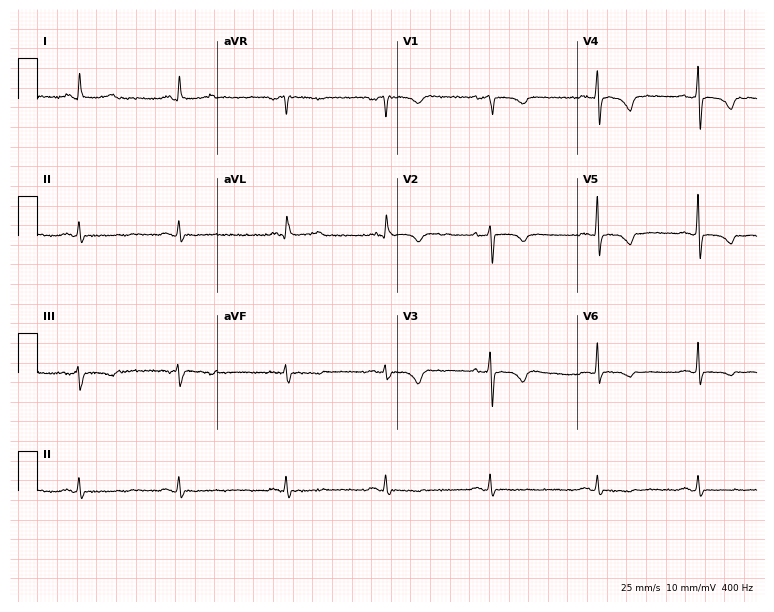
Electrocardiogram, a 65-year-old female. Of the six screened findings (first-degree AV block, right bundle branch block, left bundle branch block, sinus bradycardia, atrial fibrillation, sinus tachycardia), none is recorded. Only these six findings were labelled.